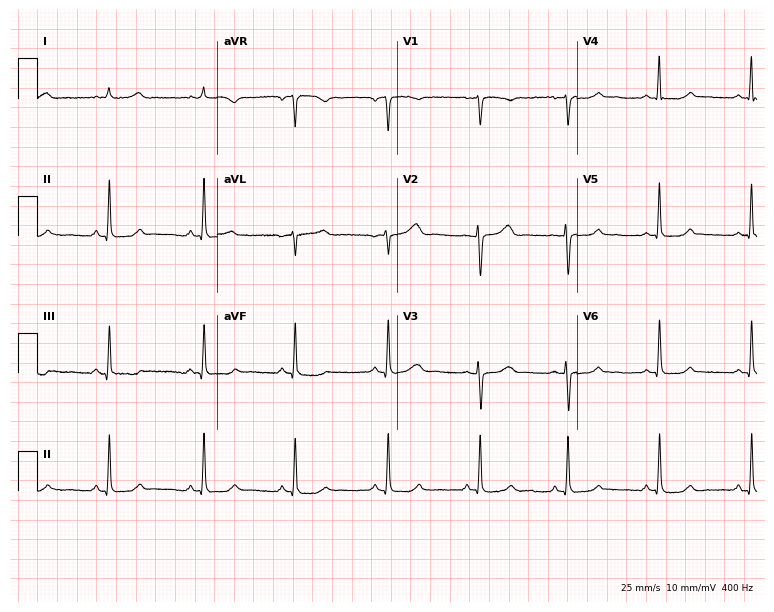
12-lead ECG (7.3-second recording at 400 Hz) from a 36-year-old female. Labelled as a normal ECG.